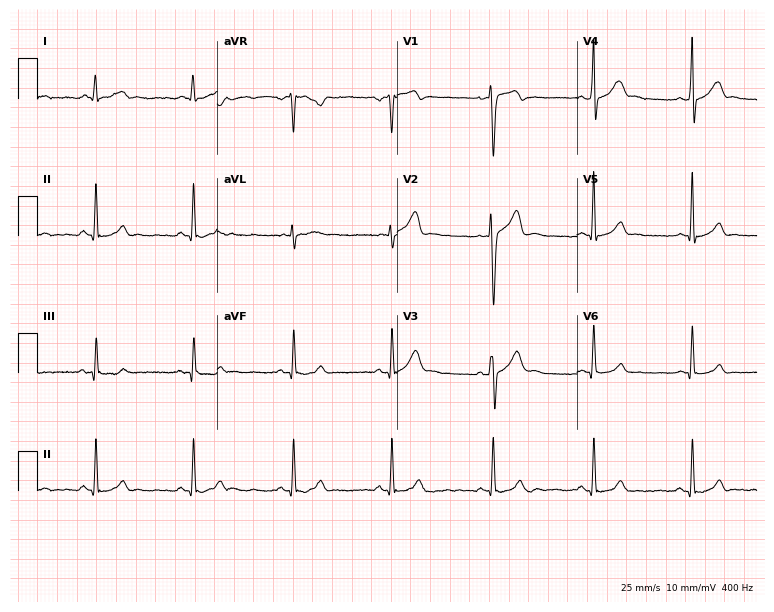
12-lead ECG from a 23-year-old male (7.3-second recording at 400 Hz). Recorded interpretation: within normal limits.